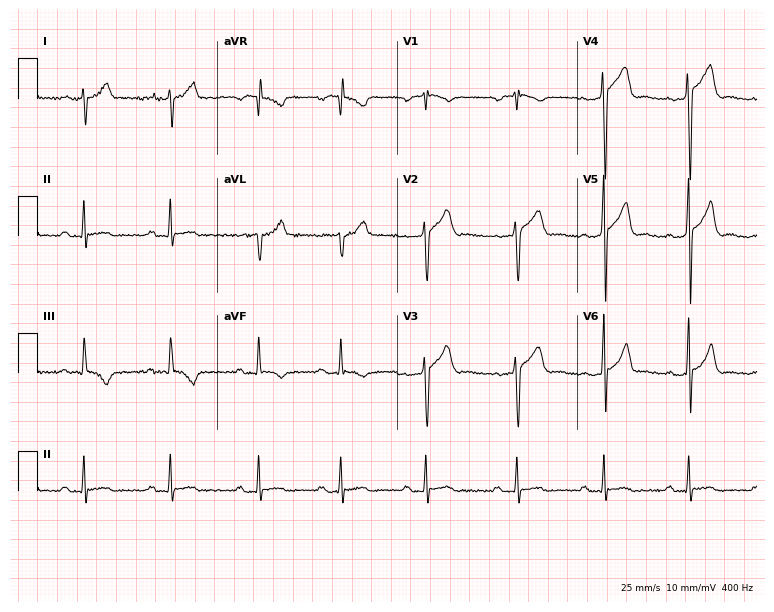
Resting 12-lead electrocardiogram. Patient: a male, 30 years old. None of these six findings is recorded: first-degree AV block, right bundle branch block (RBBB), left bundle branch block (LBBB), sinus bradycardia, atrial fibrillation (AF), sinus tachycardia. Other findings, if any, are not listed.